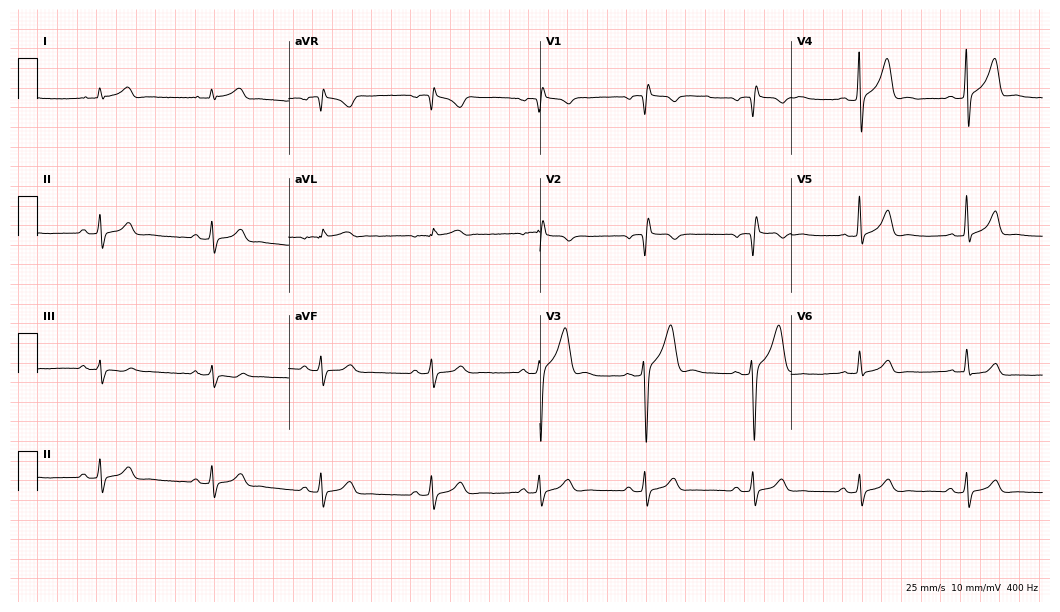
Standard 12-lead ECG recorded from a man, 40 years old (10.2-second recording at 400 Hz). None of these six findings is recorded: first-degree AV block, right bundle branch block, left bundle branch block, sinus bradycardia, atrial fibrillation, sinus tachycardia.